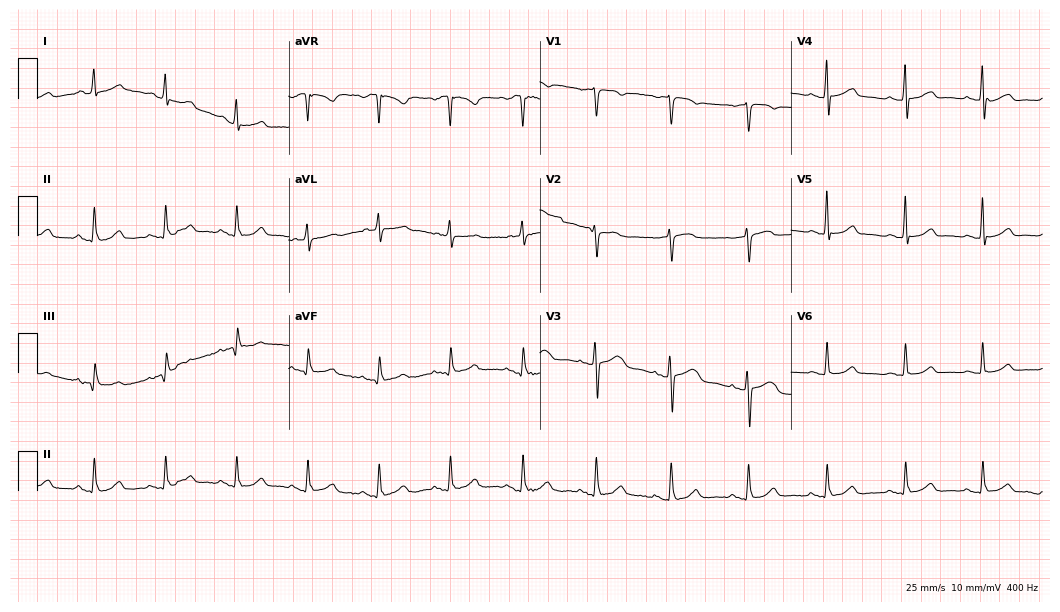
ECG (10.2-second recording at 400 Hz) — a female patient, 61 years old. Labelled as a normal ECG.